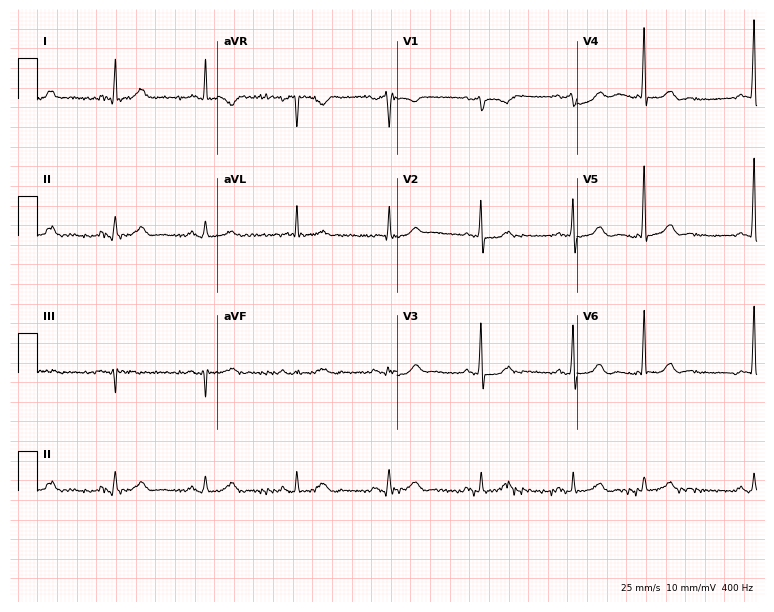
Electrocardiogram, a 74-year-old man. Of the six screened findings (first-degree AV block, right bundle branch block (RBBB), left bundle branch block (LBBB), sinus bradycardia, atrial fibrillation (AF), sinus tachycardia), none is recorded. Findings outside these six are not listed.